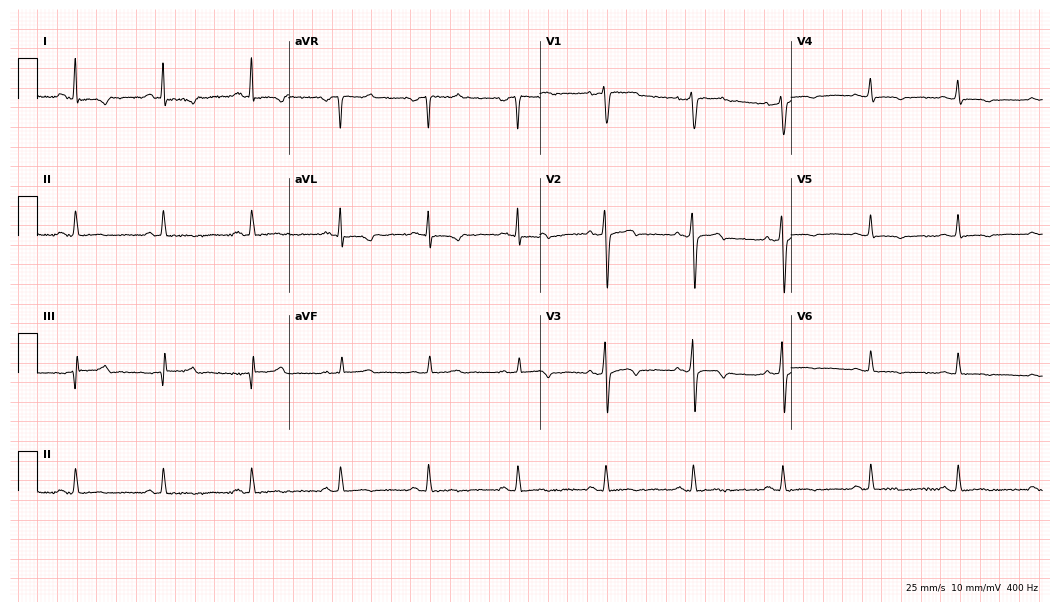
12-lead ECG from a female patient, 48 years old (10.2-second recording at 400 Hz). No first-degree AV block, right bundle branch block (RBBB), left bundle branch block (LBBB), sinus bradycardia, atrial fibrillation (AF) or sinus tachycardia recorded for this tracing.